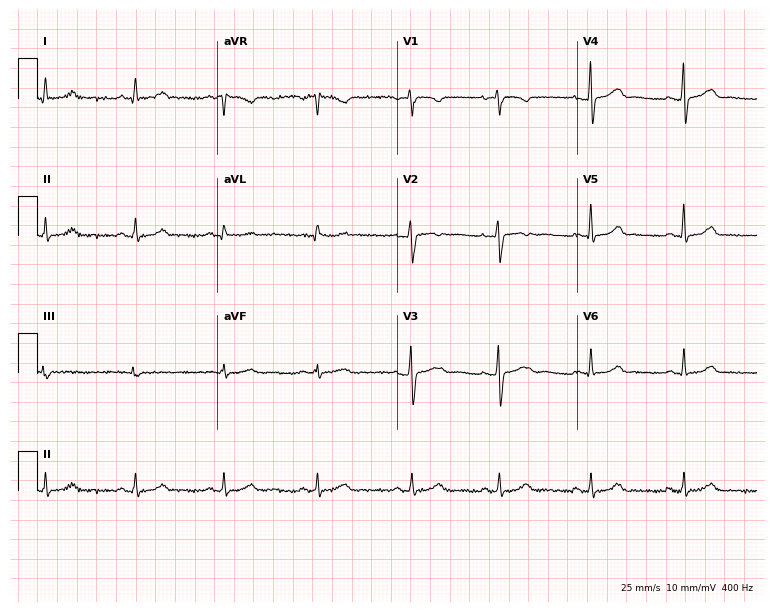
12-lead ECG from a 42-year-old female. Labelled as a normal ECG.